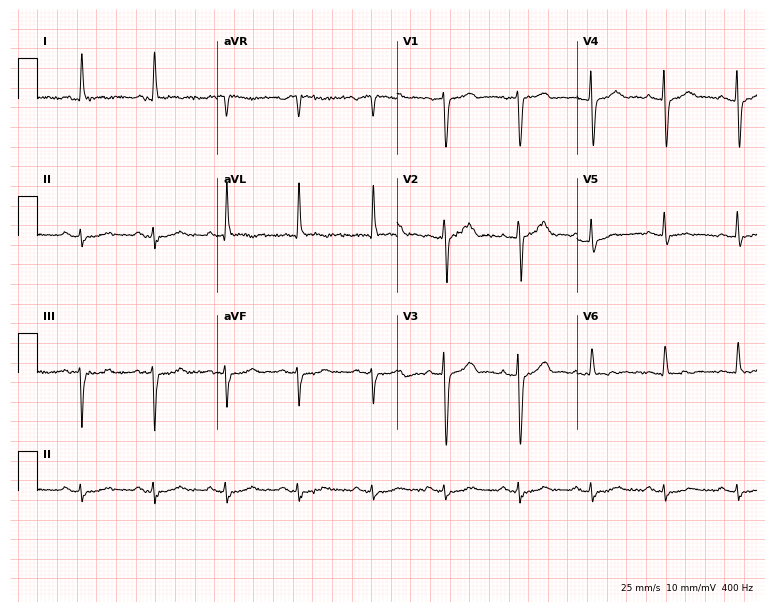
12-lead ECG (7.3-second recording at 400 Hz) from a 76-year-old male patient. Labelled as a normal ECG.